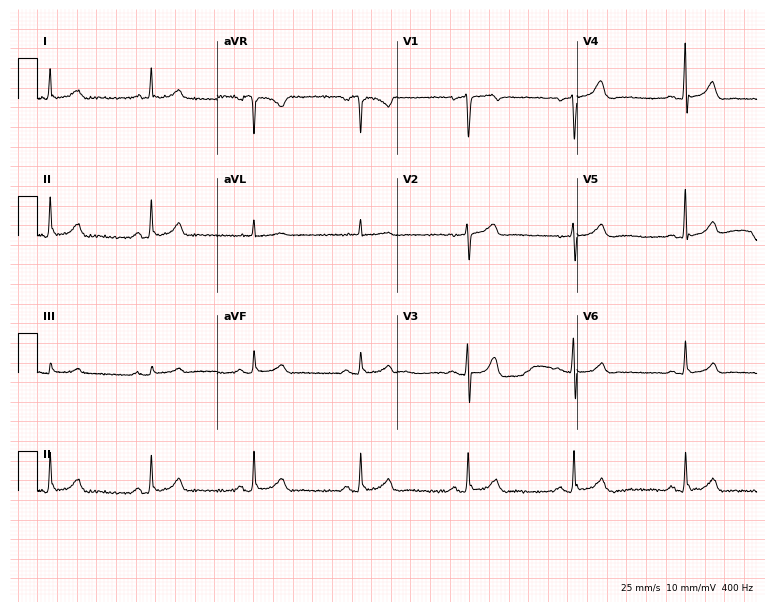
Resting 12-lead electrocardiogram (7.3-second recording at 400 Hz). Patient: a male, 51 years old. Read as a normal ECG.